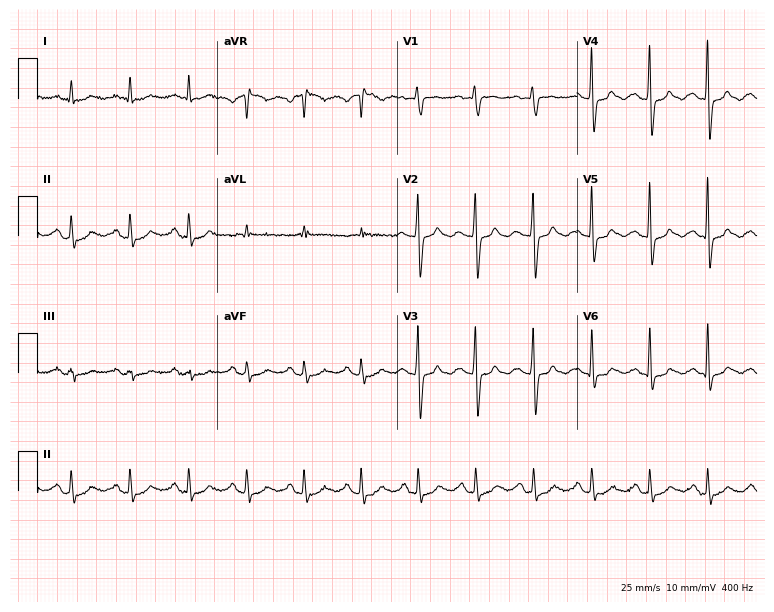
Standard 12-lead ECG recorded from a female patient, 64 years old. None of these six findings is recorded: first-degree AV block, right bundle branch block, left bundle branch block, sinus bradycardia, atrial fibrillation, sinus tachycardia.